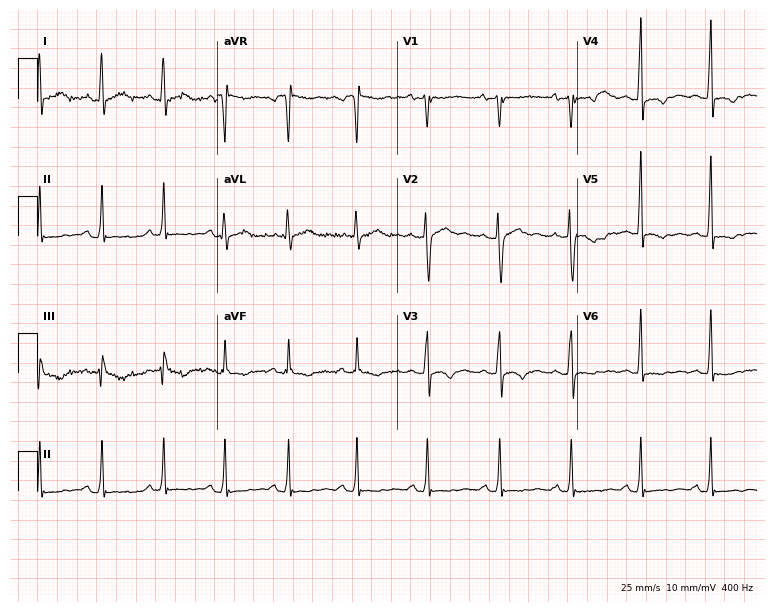
12-lead ECG (7.3-second recording at 400 Hz) from a man, 31 years old. Screened for six findings — first-degree AV block, right bundle branch block, left bundle branch block, sinus bradycardia, atrial fibrillation, sinus tachycardia — none is recorded. Findings outside these six are not listed.